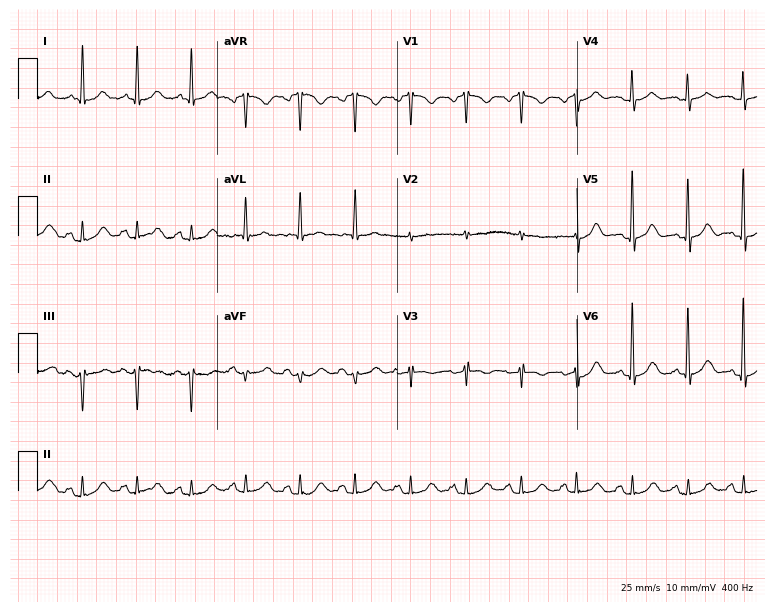
12-lead ECG from a 74-year-old female patient (7.3-second recording at 400 Hz). No first-degree AV block, right bundle branch block (RBBB), left bundle branch block (LBBB), sinus bradycardia, atrial fibrillation (AF) or sinus tachycardia recorded for this tracing. Only these six findings were labelled.